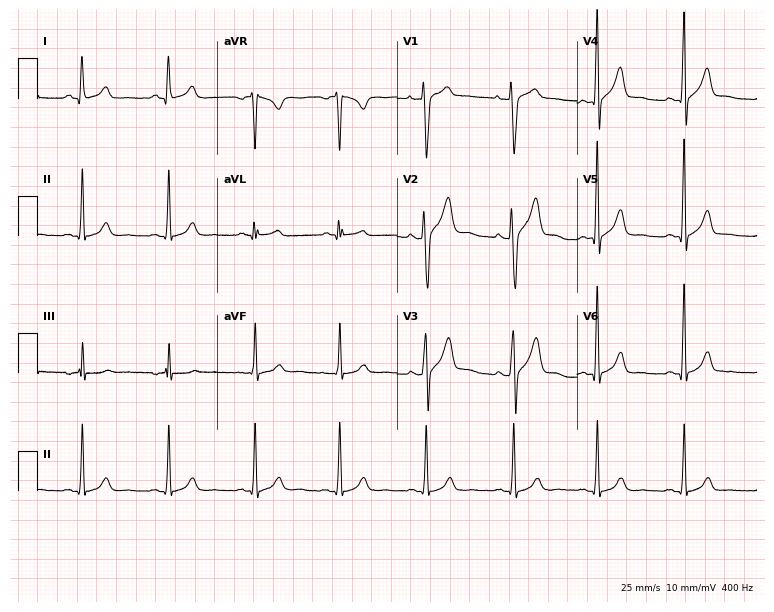
ECG (7.3-second recording at 400 Hz) — a male patient, 31 years old. Labelled as a normal ECG.